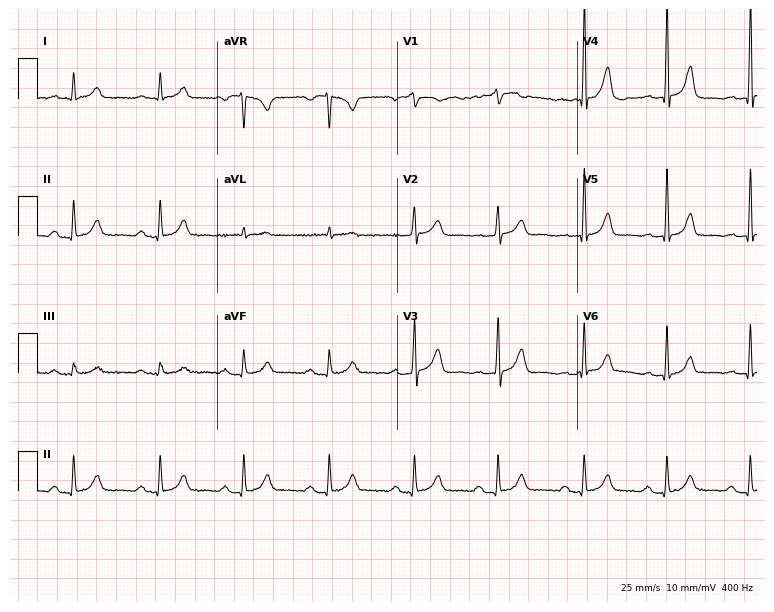
12-lead ECG from a 56-year-old male (7.3-second recording at 400 Hz). Recorded interpretation: within normal limits.